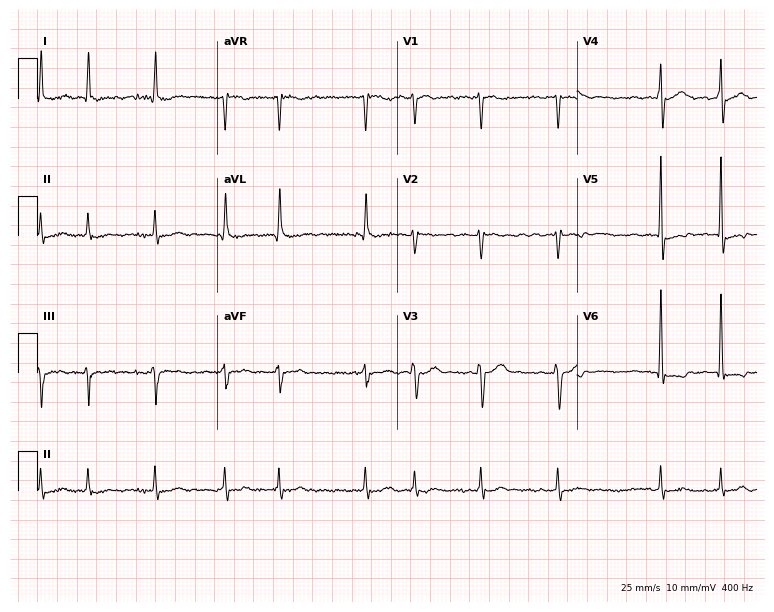
Resting 12-lead electrocardiogram. Patient: a 67-year-old male. The tracing shows atrial fibrillation (AF).